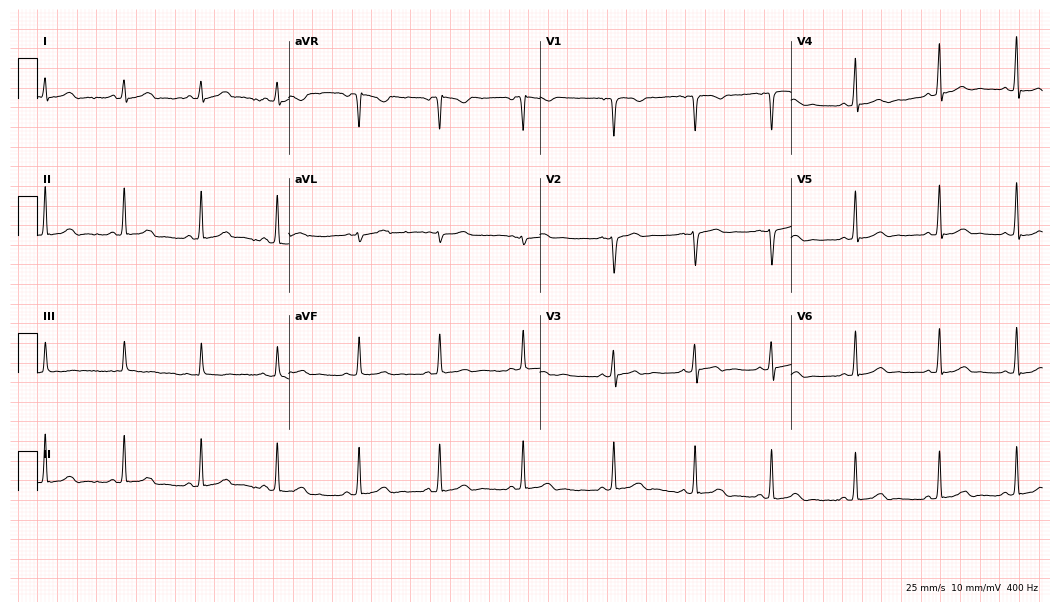
ECG (10.2-second recording at 400 Hz) — a 35-year-old female. Labelled as a normal ECG.